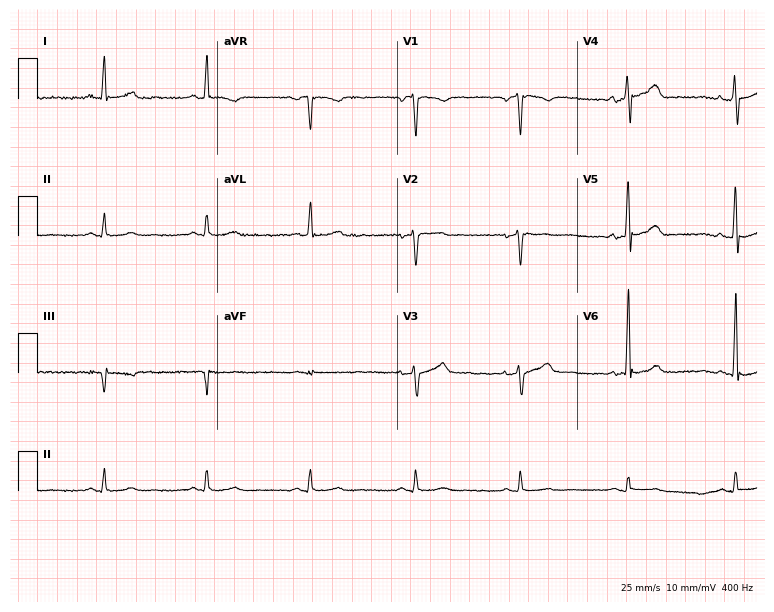
12-lead ECG from a male patient, 59 years old. Labelled as a normal ECG.